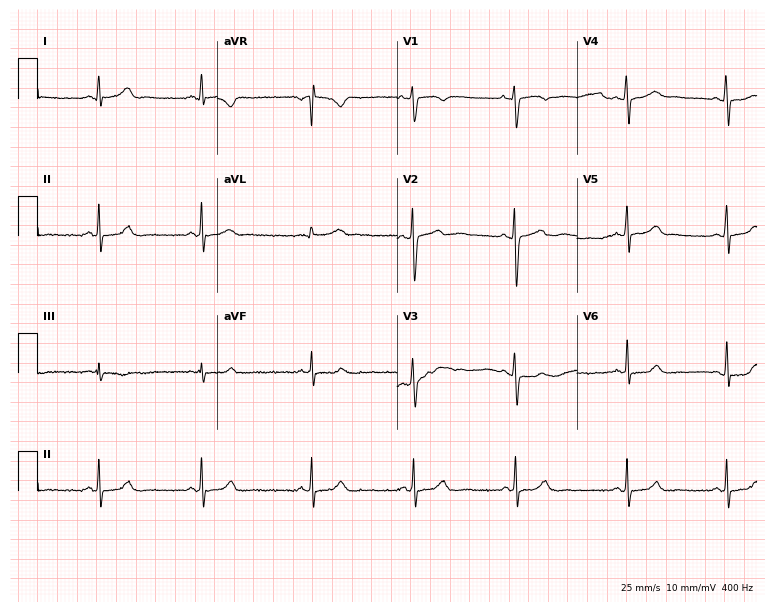
12-lead ECG from a 26-year-old woman. Recorded interpretation: within normal limits.